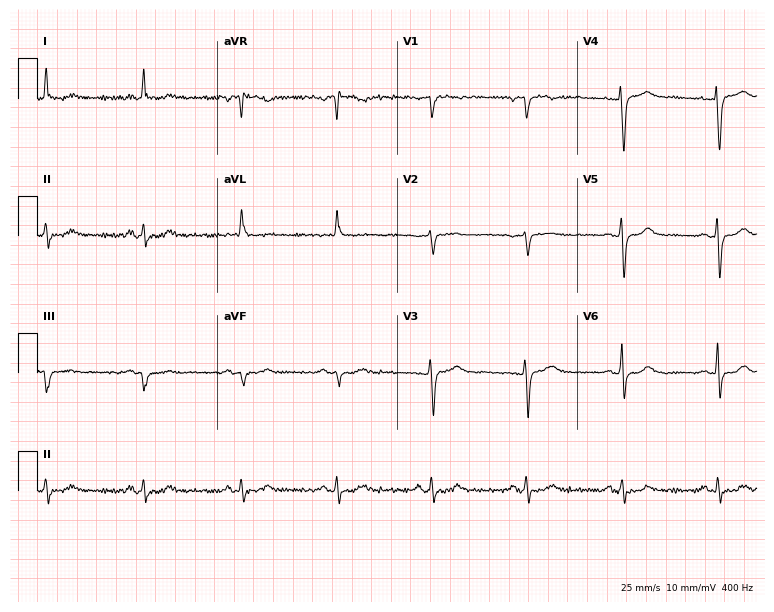
Standard 12-lead ECG recorded from a female, 71 years old (7.3-second recording at 400 Hz). None of these six findings is recorded: first-degree AV block, right bundle branch block (RBBB), left bundle branch block (LBBB), sinus bradycardia, atrial fibrillation (AF), sinus tachycardia. Findings outside these six are not listed.